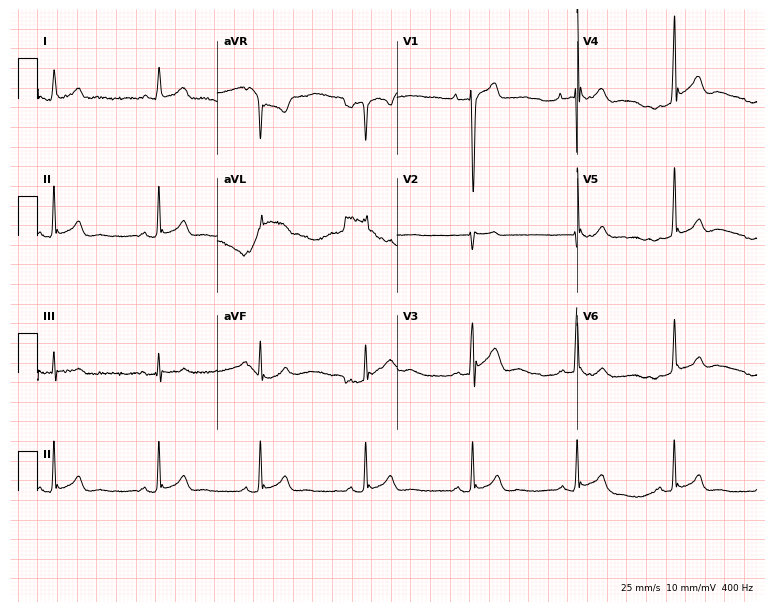
Standard 12-lead ECG recorded from a male patient, 21 years old (7.3-second recording at 400 Hz). Read as a normal ECG.